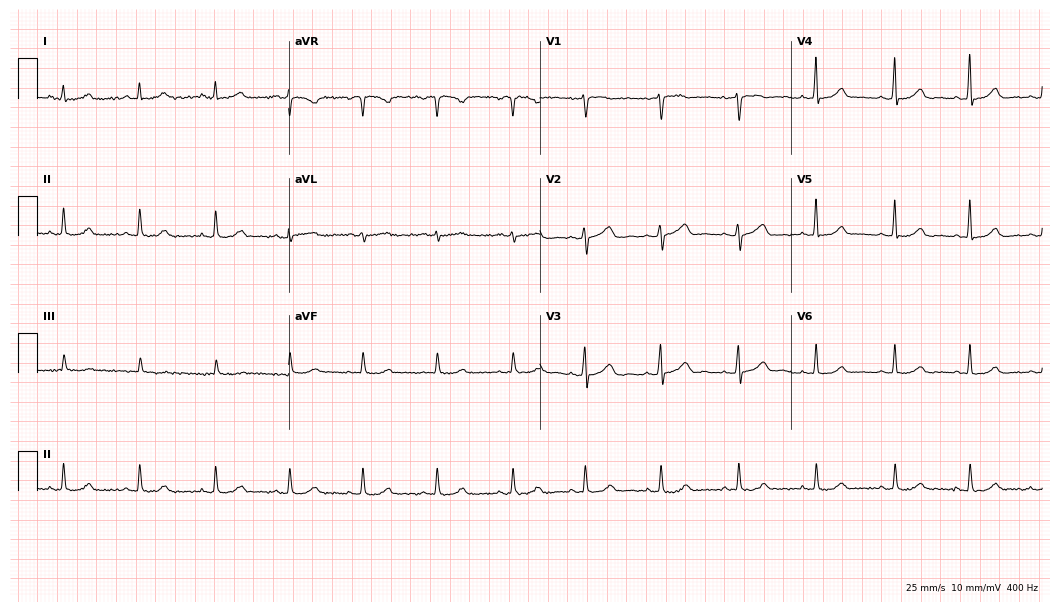
Electrocardiogram, a female patient, 48 years old. Overall reading on record: normal ECG.